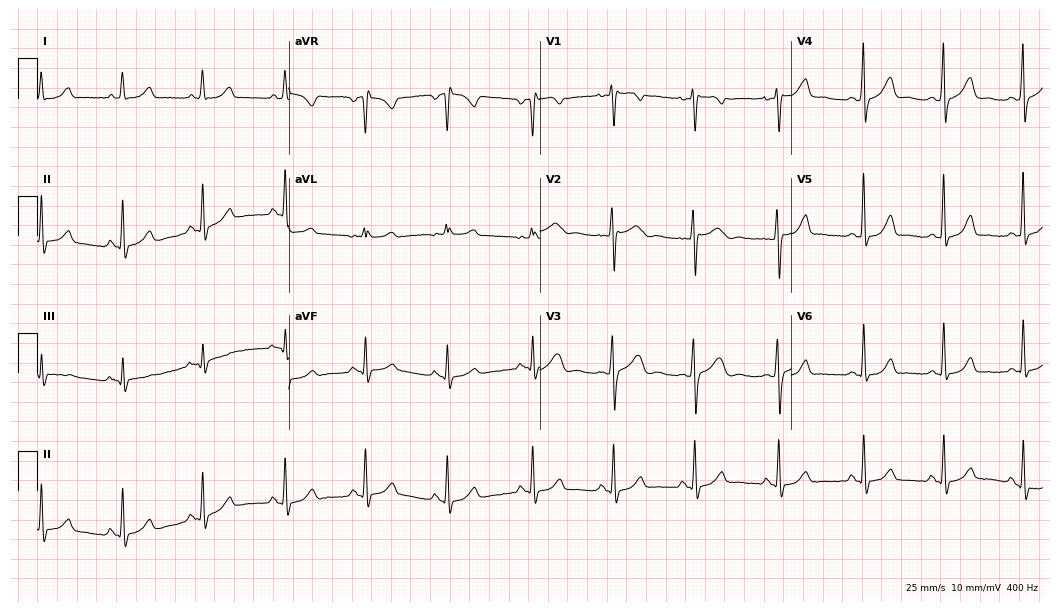
12-lead ECG (10.2-second recording at 400 Hz) from a 31-year-old woman. Screened for six findings — first-degree AV block, right bundle branch block, left bundle branch block, sinus bradycardia, atrial fibrillation, sinus tachycardia — none is recorded.